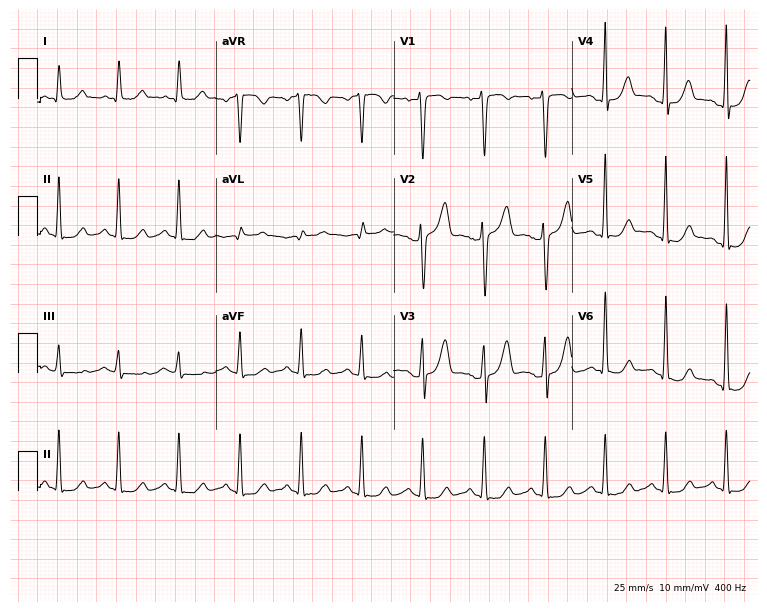
Standard 12-lead ECG recorded from a 47-year-old male patient (7.3-second recording at 400 Hz). None of these six findings is recorded: first-degree AV block, right bundle branch block (RBBB), left bundle branch block (LBBB), sinus bradycardia, atrial fibrillation (AF), sinus tachycardia. Other findings, if any, are not listed.